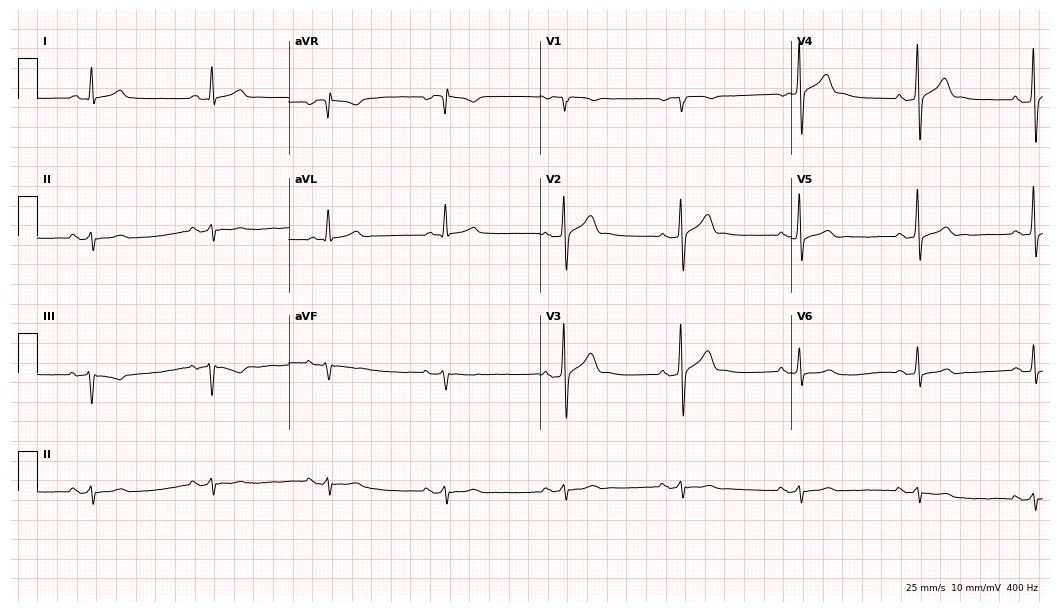
ECG (10.2-second recording at 400 Hz) — a 59-year-old male. Findings include sinus bradycardia (a sinus rate of 50 beats per minute or less).